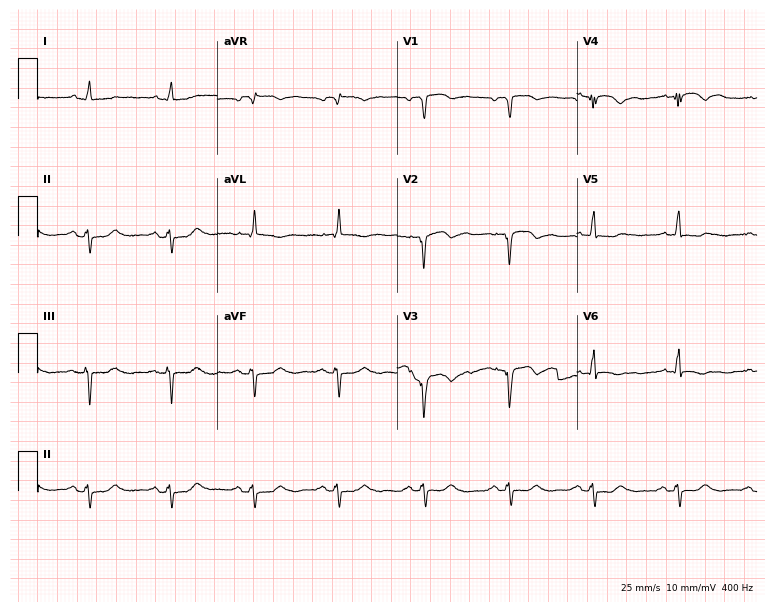
12-lead ECG from a 65-year-old male patient (7.3-second recording at 400 Hz). No first-degree AV block, right bundle branch block, left bundle branch block, sinus bradycardia, atrial fibrillation or sinus tachycardia recorded for this tracing.